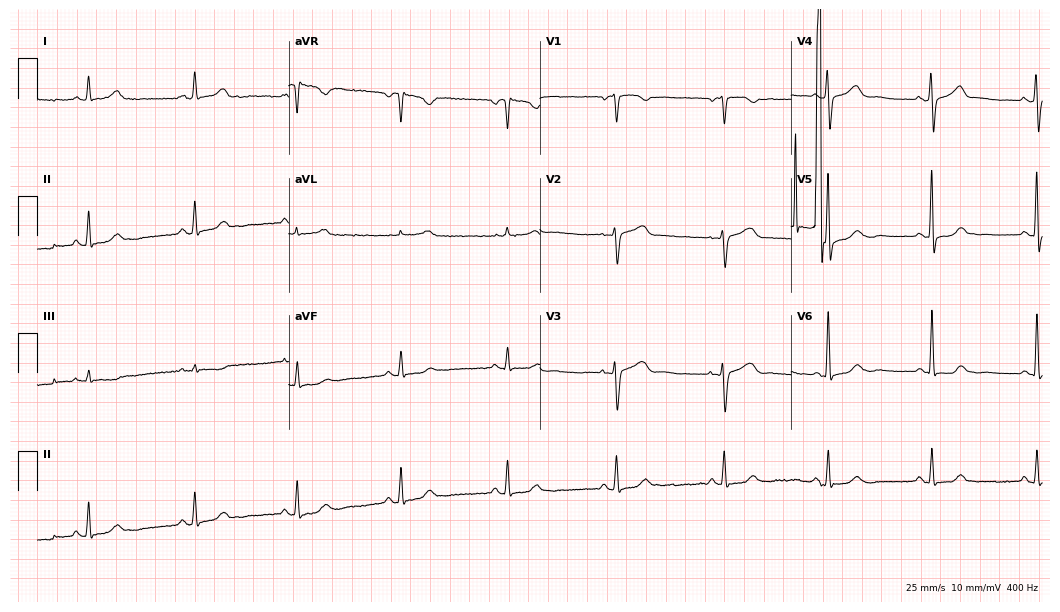
Resting 12-lead electrocardiogram. Patient: a female, 59 years old. Read as a normal ECG.